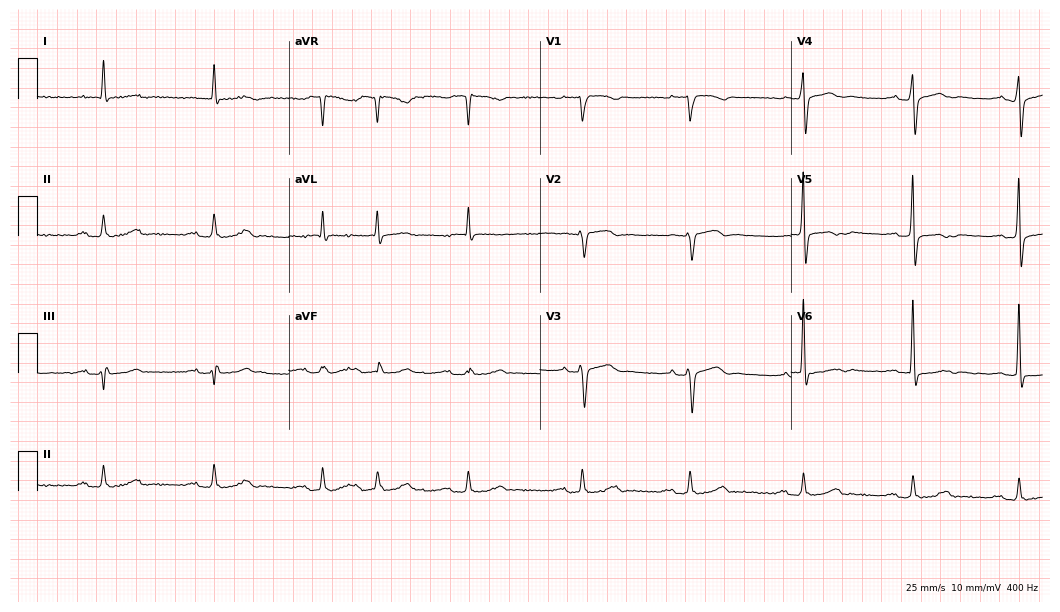
12-lead ECG from a male patient, 79 years old (10.2-second recording at 400 Hz). No first-degree AV block, right bundle branch block, left bundle branch block, sinus bradycardia, atrial fibrillation or sinus tachycardia recorded for this tracing.